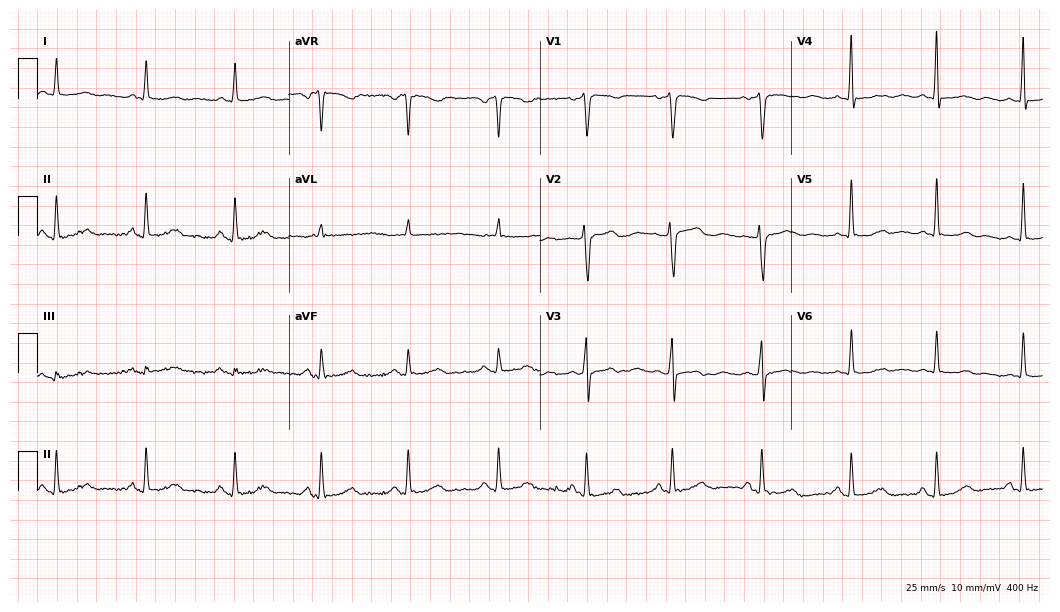
Resting 12-lead electrocardiogram (10.2-second recording at 400 Hz). Patient: a 56-year-old female. Read as a normal ECG.